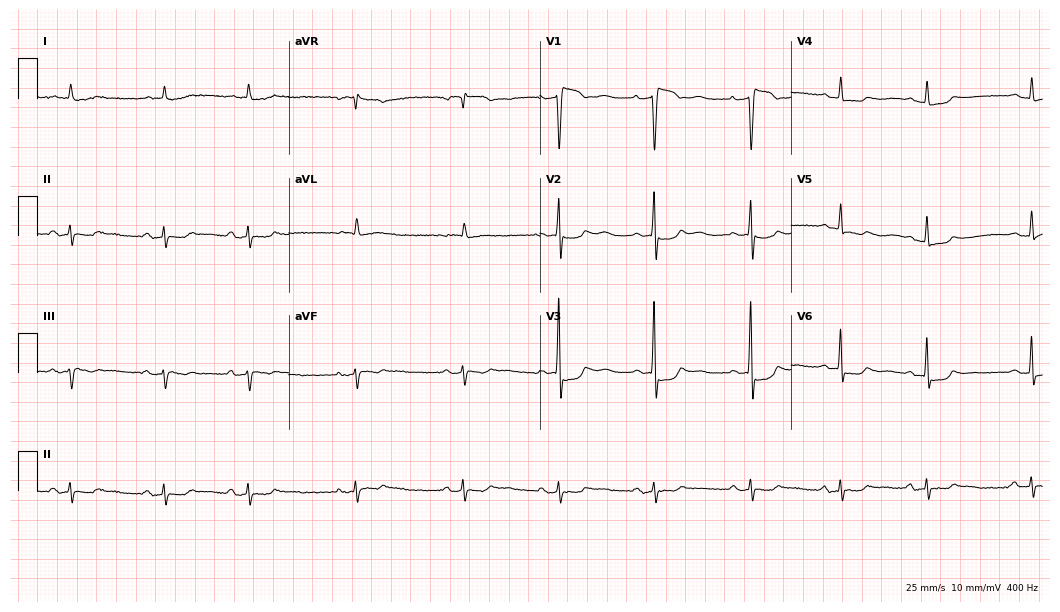
12-lead ECG from a 23-year-old female (10.2-second recording at 400 Hz). No first-degree AV block, right bundle branch block, left bundle branch block, sinus bradycardia, atrial fibrillation or sinus tachycardia recorded for this tracing. Findings outside these six are not listed.